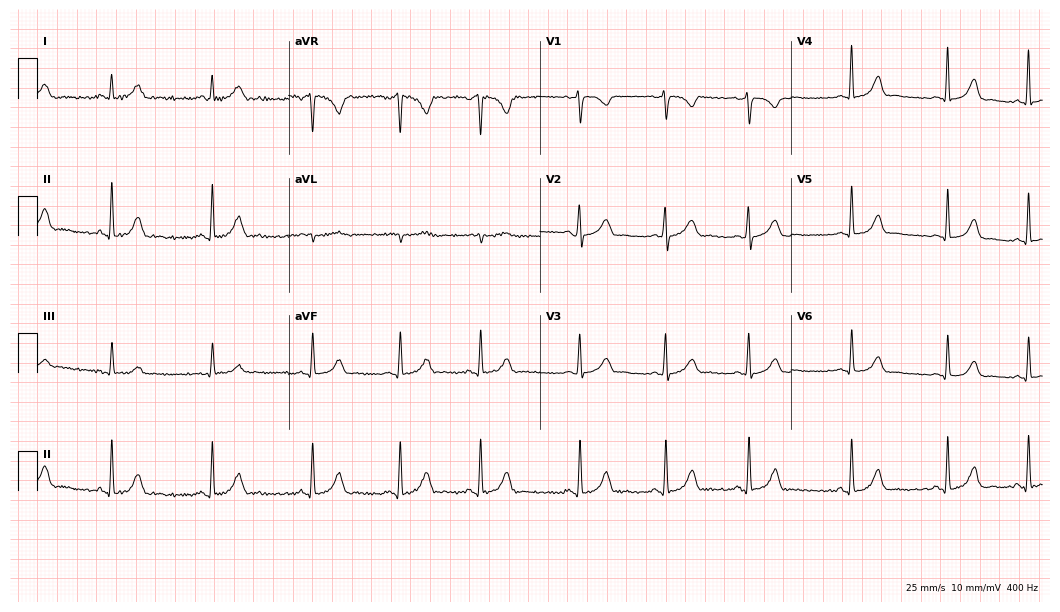
Electrocardiogram, a 20-year-old woman. Overall reading on record: normal ECG.